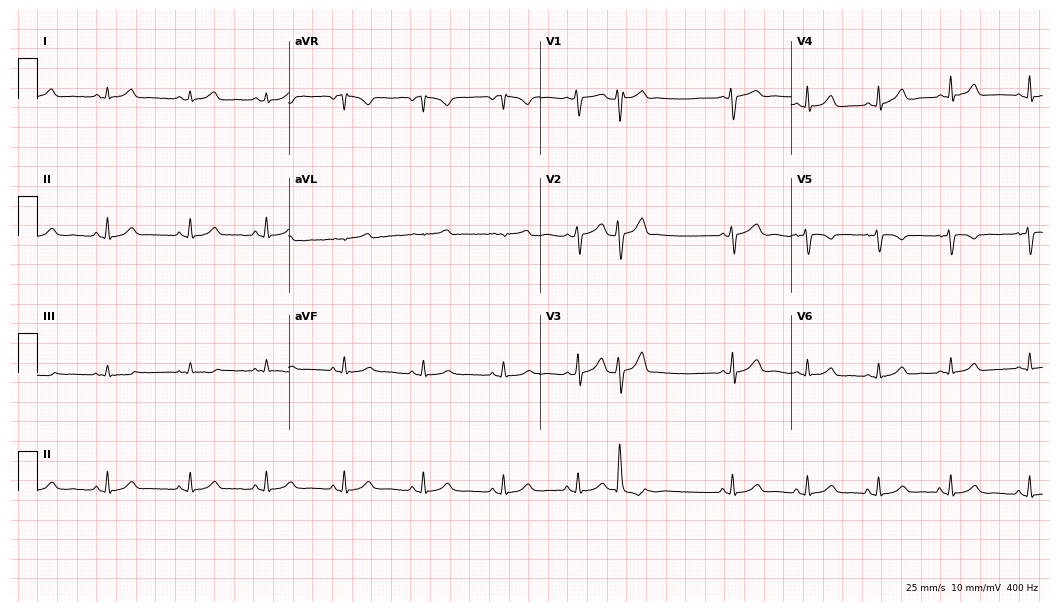
Electrocardiogram, a 23-year-old female patient. Of the six screened findings (first-degree AV block, right bundle branch block (RBBB), left bundle branch block (LBBB), sinus bradycardia, atrial fibrillation (AF), sinus tachycardia), none is recorded.